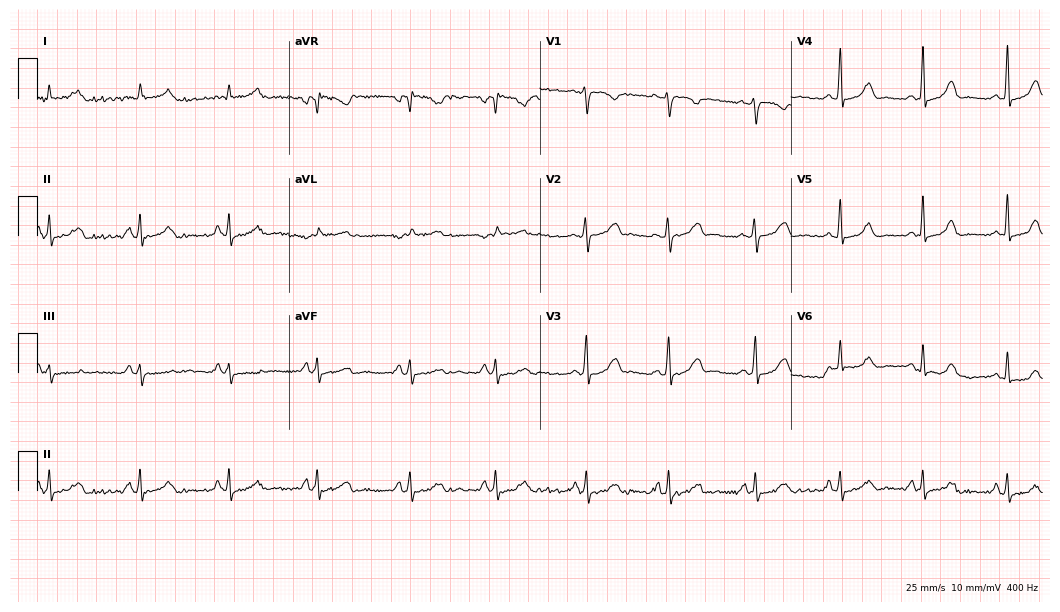
Standard 12-lead ECG recorded from a female, 46 years old (10.2-second recording at 400 Hz). Read as a normal ECG.